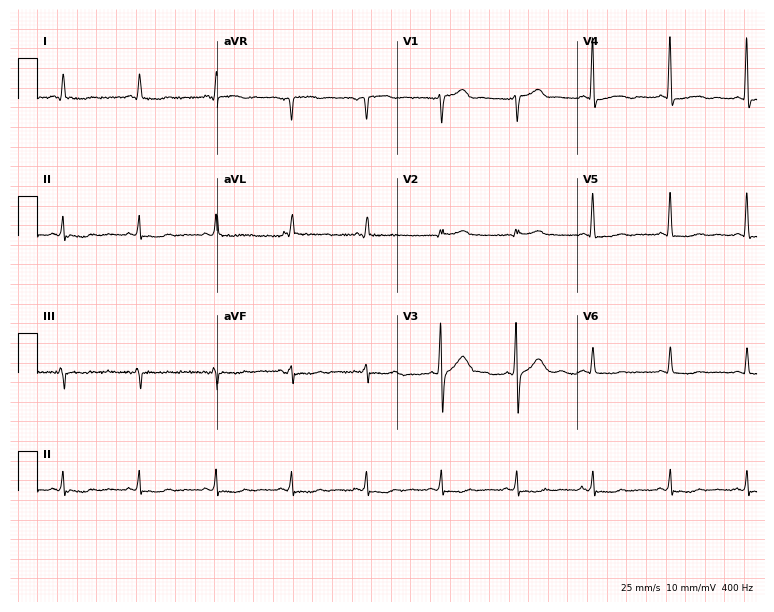
12-lead ECG from a male, 72 years old (7.3-second recording at 400 Hz). No first-degree AV block, right bundle branch block (RBBB), left bundle branch block (LBBB), sinus bradycardia, atrial fibrillation (AF) or sinus tachycardia recorded for this tracing. Other findings, if any, are not listed.